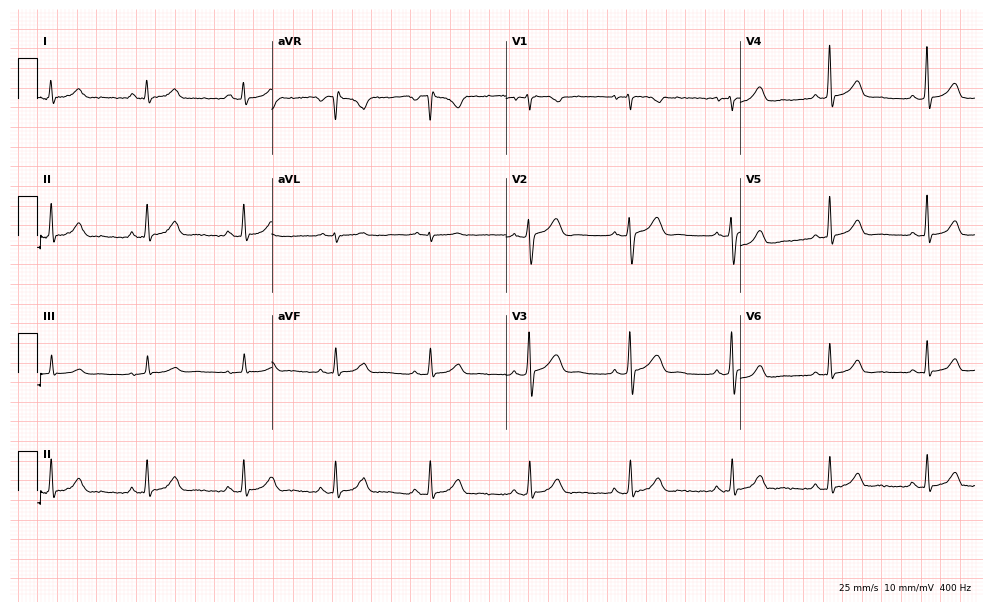
Resting 12-lead electrocardiogram. Patient: a 22-year-old female. None of these six findings is recorded: first-degree AV block, right bundle branch block, left bundle branch block, sinus bradycardia, atrial fibrillation, sinus tachycardia. Findings outside these six are not listed.